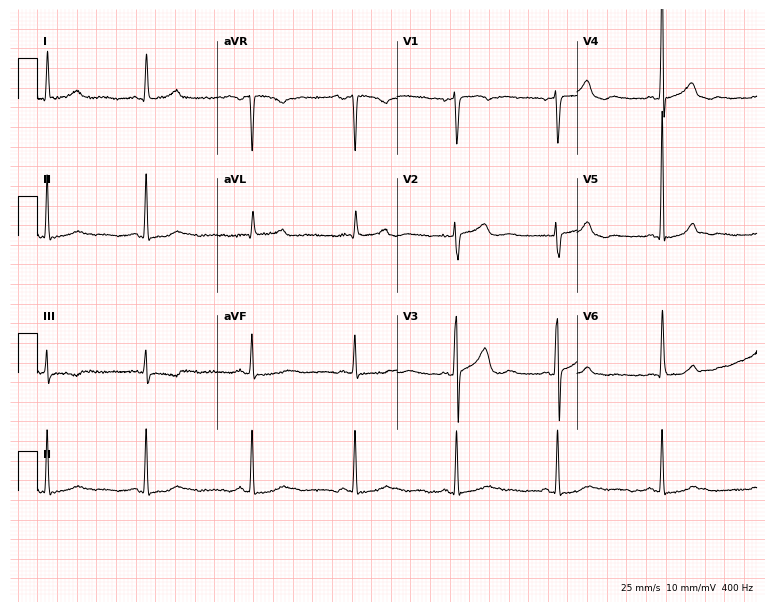
ECG (7.3-second recording at 400 Hz) — a female patient, 60 years old. Screened for six findings — first-degree AV block, right bundle branch block, left bundle branch block, sinus bradycardia, atrial fibrillation, sinus tachycardia — none is recorded. Findings outside these six are not listed.